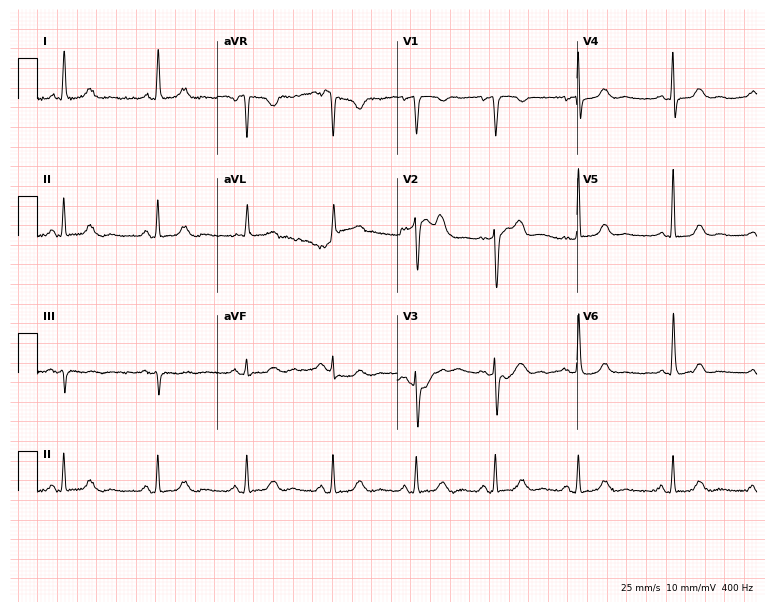
12-lead ECG from a female, 55 years old. Labelled as a normal ECG.